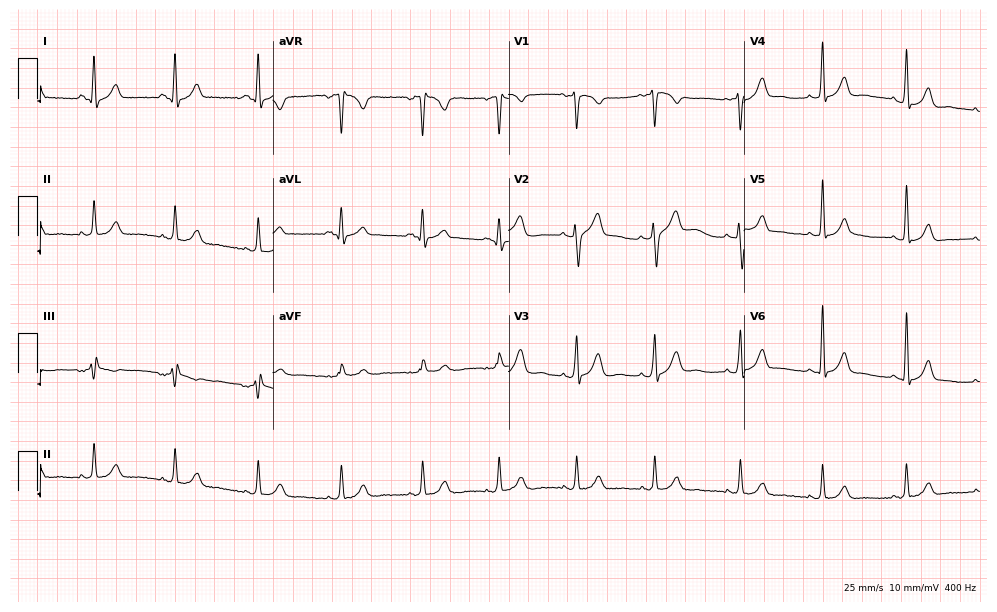
Electrocardiogram (9.6-second recording at 400 Hz), a male patient, 33 years old. Of the six screened findings (first-degree AV block, right bundle branch block, left bundle branch block, sinus bradycardia, atrial fibrillation, sinus tachycardia), none is recorded.